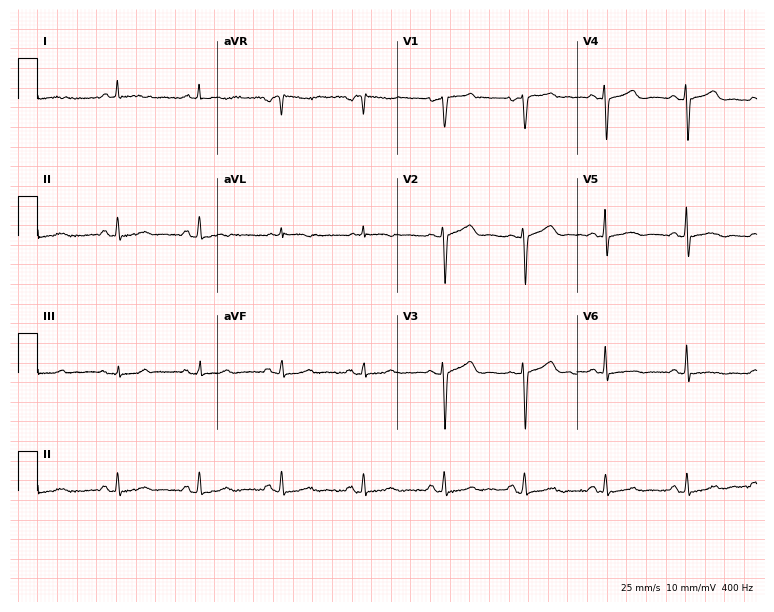
Resting 12-lead electrocardiogram (7.3-second recording at 400 Hz). Patient: a woman, 54 years old. None of these six findings is recorded: first-degree AV block, right bundle branch block, left bundle branch block, sinus bradycardia, atrial fibrillation, sinus tachycardia. Findings outside these six are not listed.